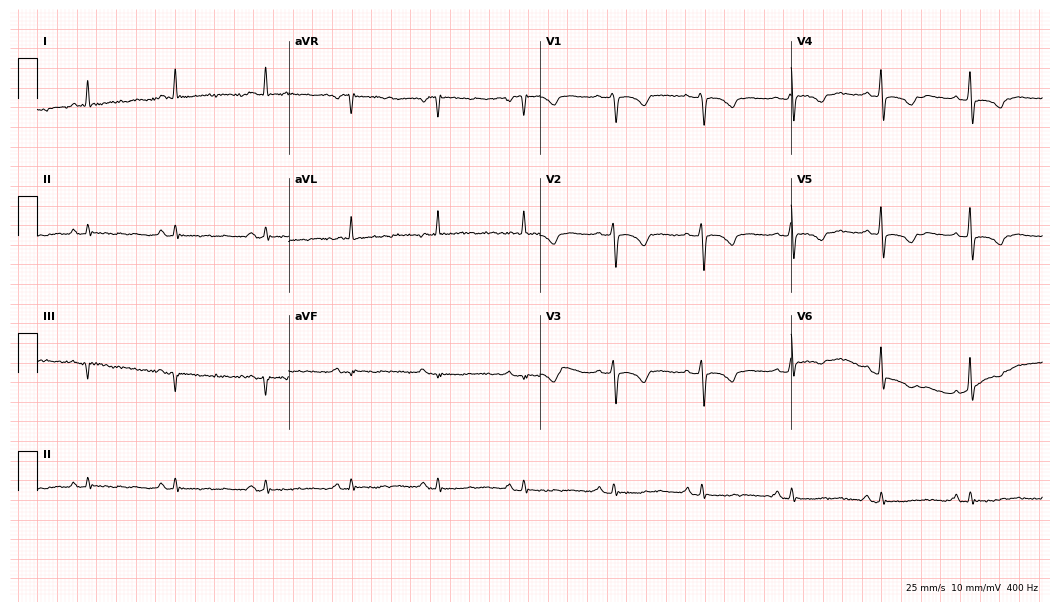
Resting 12-lead electrocardiogram (10.2-second recording at 400 Hz). Patient: a woman, 84 years old. None of these six findings is recorded: first-degree AV block, right bundle branch block (RBBB), left bundle branch block (LBBB), sinus bradycardia, atrial fibrillation (AF), sinus tachycardia.